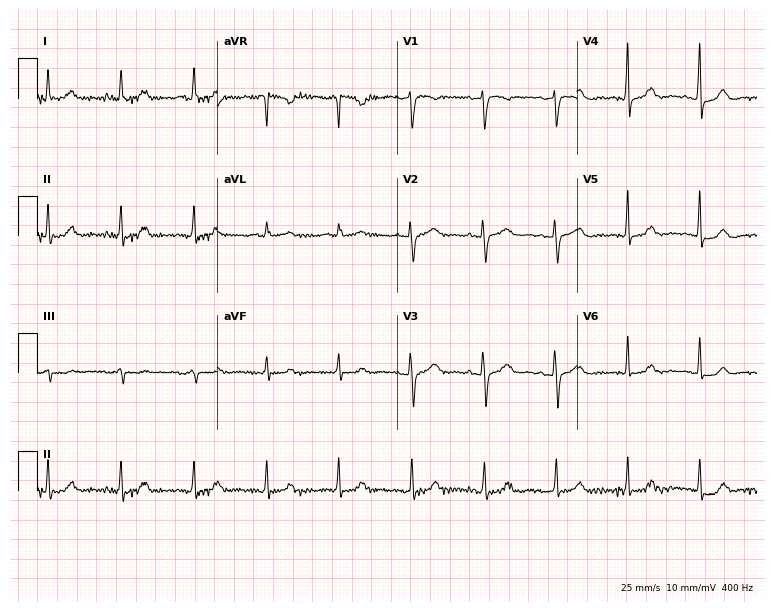
ECG (7.3-second recording at 400 Hz) — a 62-year-old female. Labelled as a normal ECG.